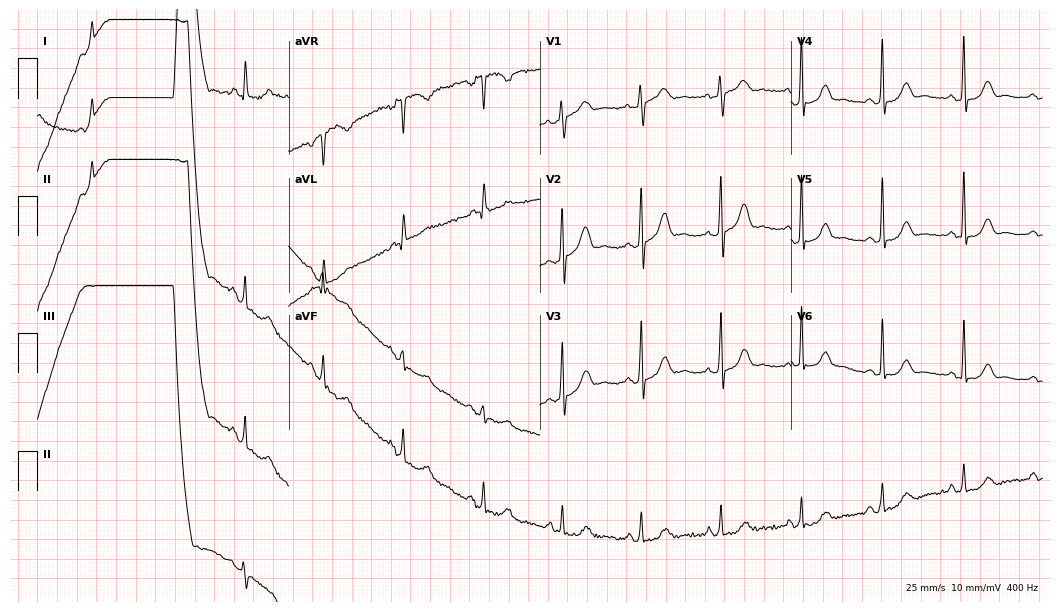
Electrocardiogram, a 62-year-old female. Overall reading on record: normal ECG.